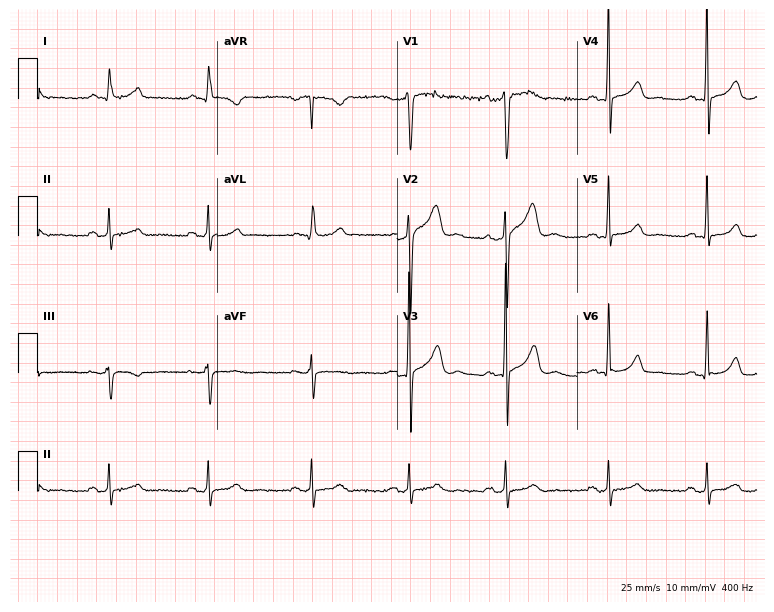
12-lead ECG from a 53-year-old man (7.3-second recording at 400 Hz). No first-degree AV block, right bundle branch block (RBBB), left bundle branch block (LBBB), sinus bradycardia, atrial fibrillation (AF) or sinus tachycardia recorded for this tracing.